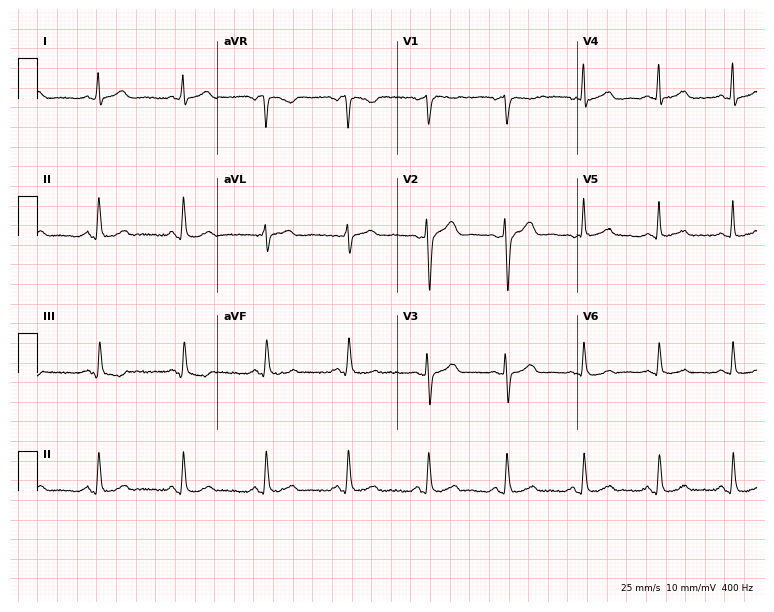
12-lead ECG (7.3-second recording at 400 Hz) from a 39-year-old woman. Labelled as a normal ECG.